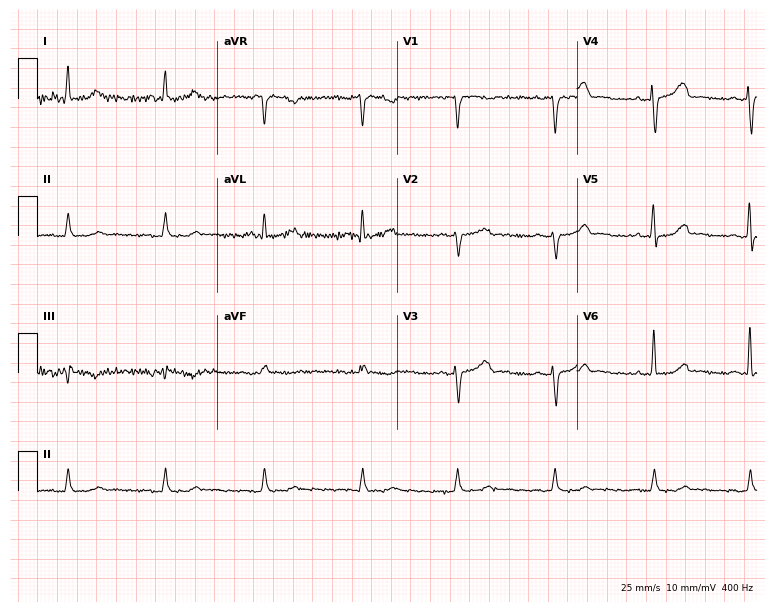
12-lead ECG from a female patient, 47 years old (7.3-second recording at 400 Hz). Recorded interpretation: within normal limits.